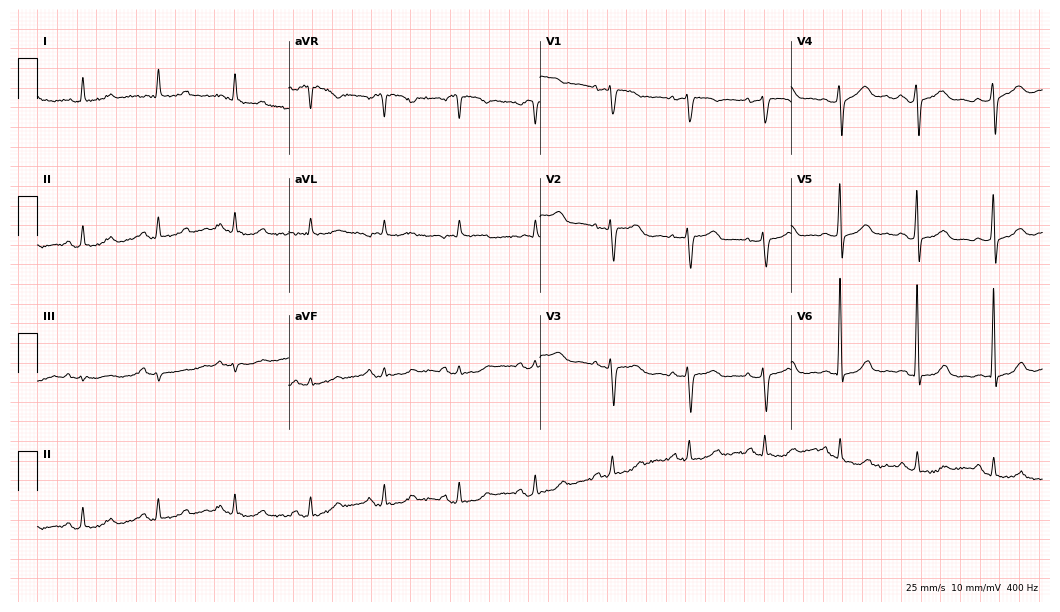
12-lead ECG from a female patient, 68 years old (10.2-second recording at 400 Hz). No first-degree AV block, right bundle branch block, left bundle branch block, sinus bradycardia, atrial fibrillation or sinus tachycardia recorded for this tracing.